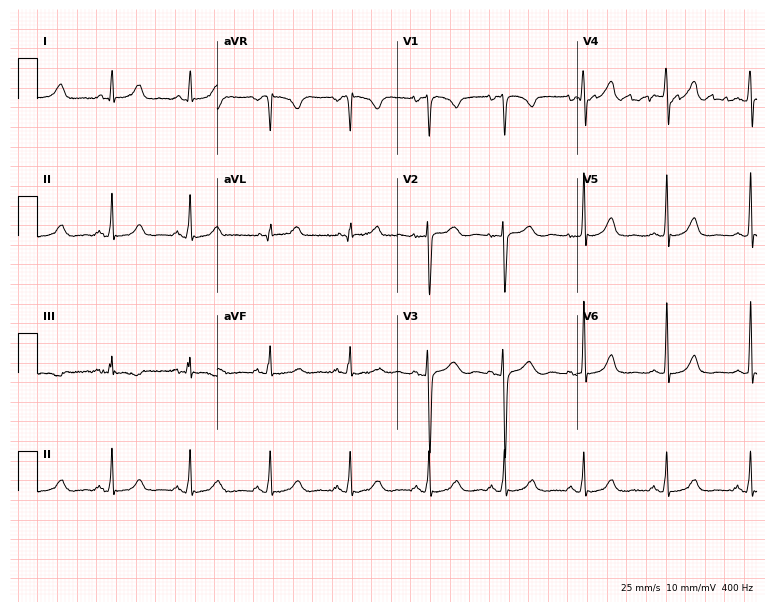
12-lead ECG from a 37-year-old female patient. Recorded interpretation: within normal limits.